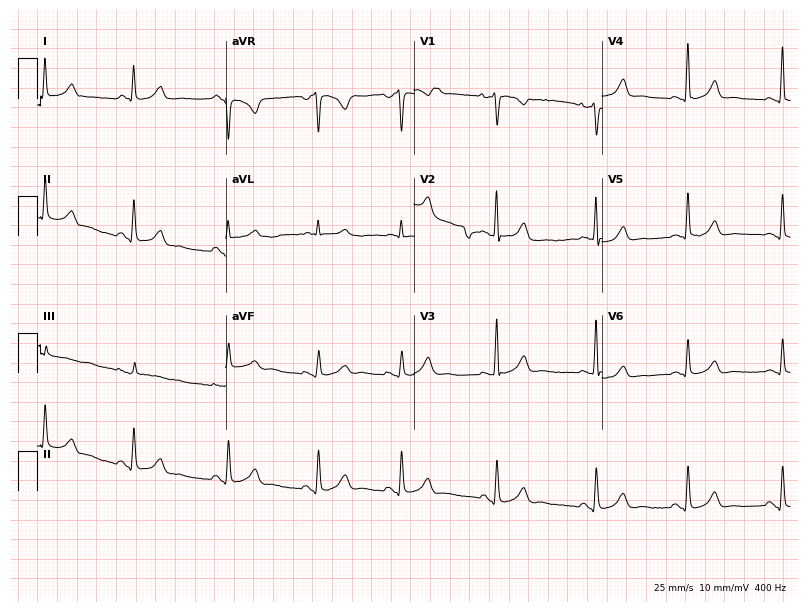
Standard 12-lead ECG recorded from a woman, 26 years old (7.7-second recording at 400 Hz). Read as a normal ECG.